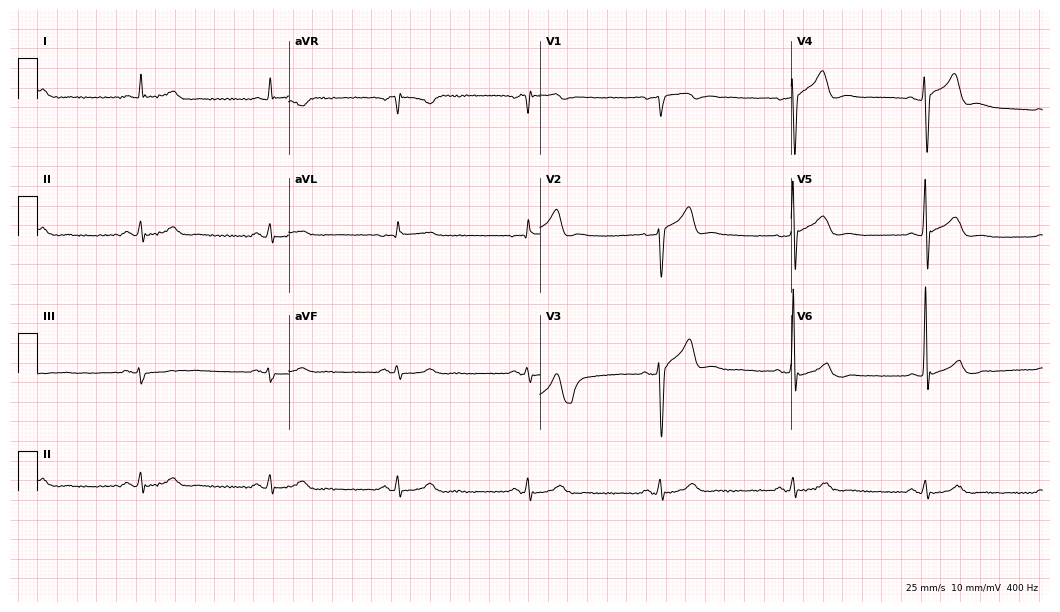
ECG (10.2-second recording at 400 Hz) — a man, 68 years old. Findings include sinus bradycardia (a sinus rate of 50 beats per minute or less).